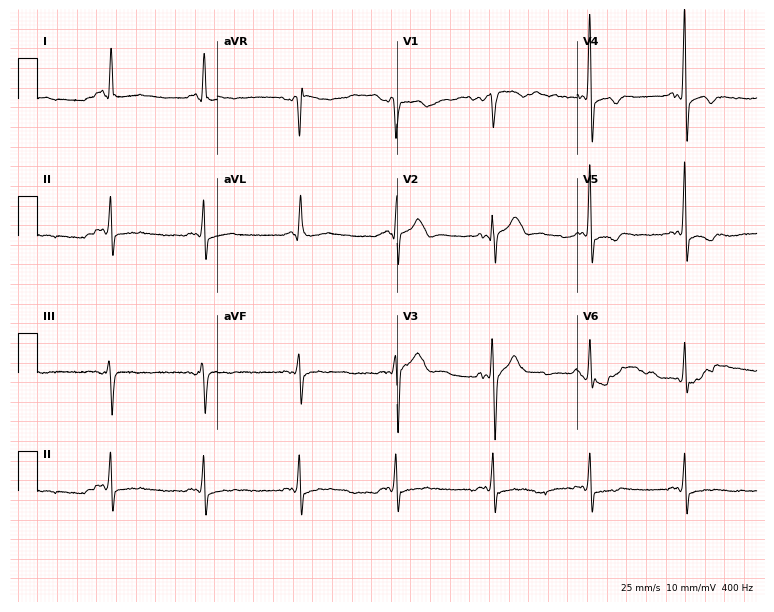
Resting 12-lead electrocardiogram. Patient: a male, 66 years old. None of these six findings is recorded: first-degree AV block, right bundle branch block (RBBB), left bundle branch block (LBBB), sinus bradycardia, atrial fibrillation (AF), sinus tachycardia. Findings outside these six are not listed.